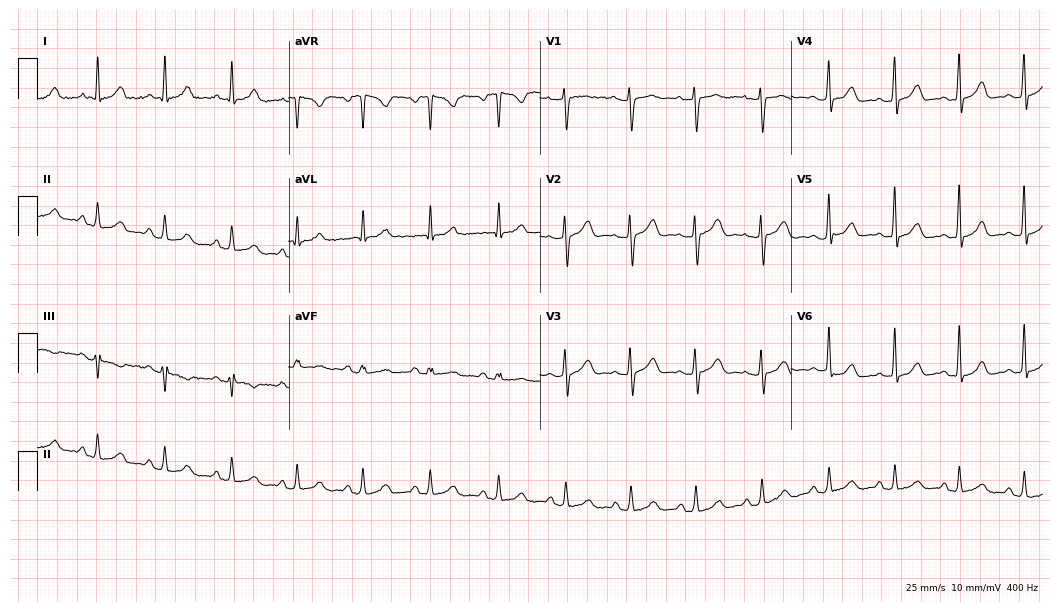
Resting 12-lead electrocardiogram. Patient: a 29-year-old female. Read as a normal ECG.